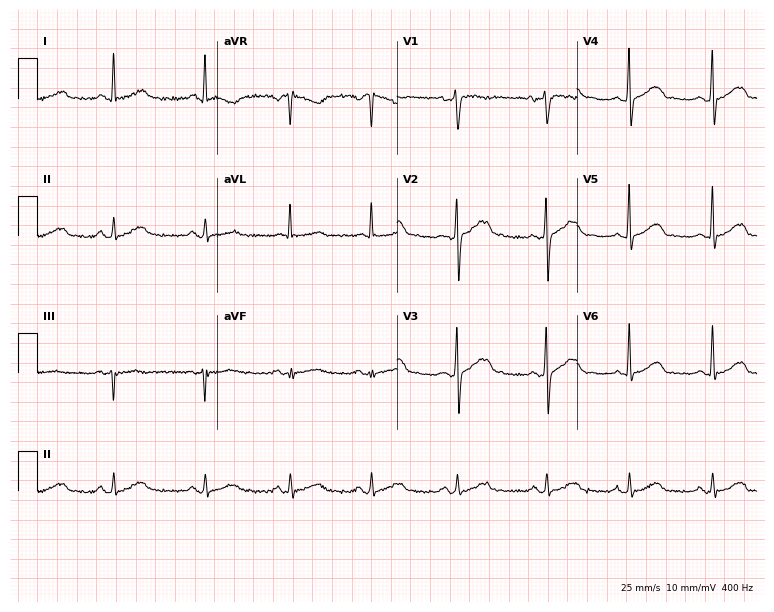
Electrocardiogram (7.3-second recording at 400 Hz), a 27-year-old male. Overall reading on record: normal ECG.